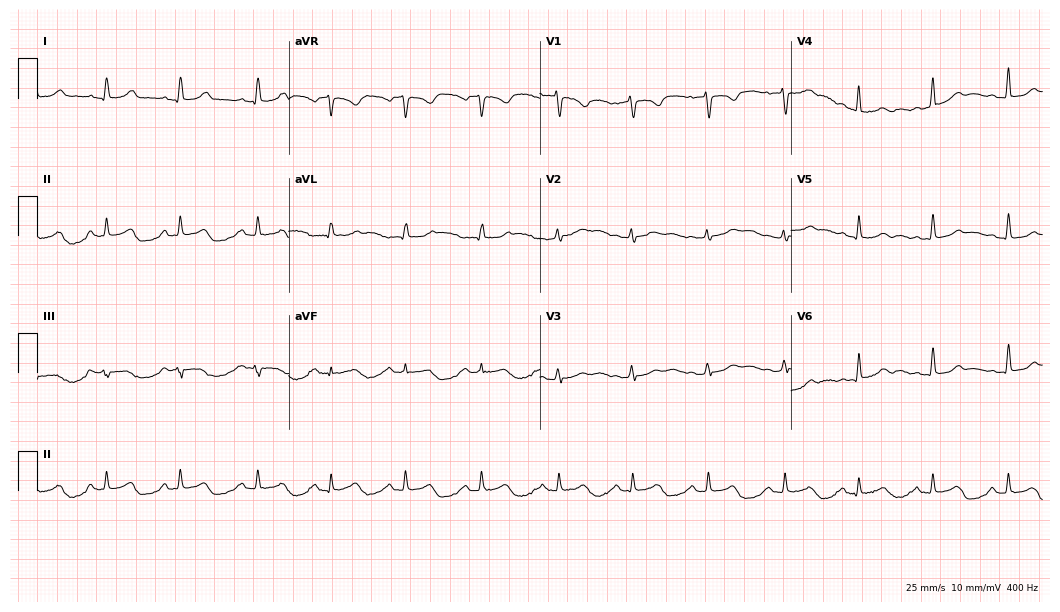
12-lead ECG from a female patient, 50 years old (10.2-second recording at 400 Hz). No first-degree AV block, right bundle branch block, left bundle branch block, sinus bradycardia, atrial fibrillation or sinus tachycardia recorded for this tracing. Only these six findings were labelled.